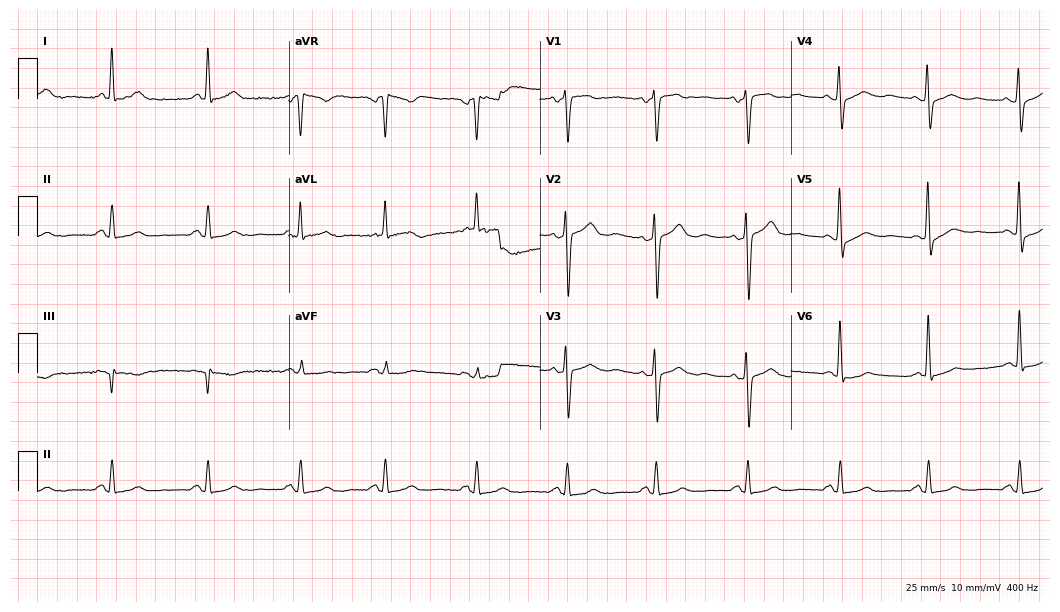
Resting 12-lead electrocardiogram. Patient: a male, 54 years old. None of these six findings is recorded: first-degree AV block, right bundle branch block, left bundle branch block, sinus bradycardia, atrial fibrillation, sinus tachycardia.